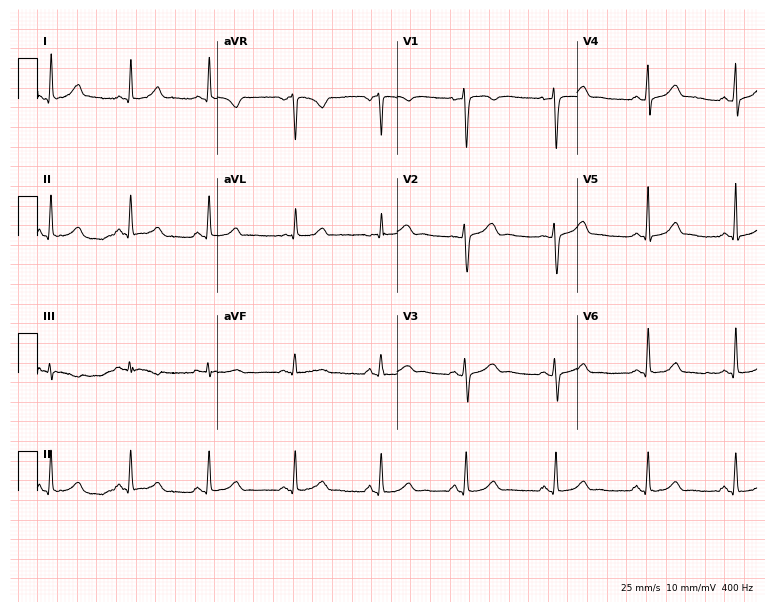
Resting 12-lead electrocardiogram (7.3-second recording at 400 Hz). Patient: a woman, 44 years old. Read as a normal ECG.